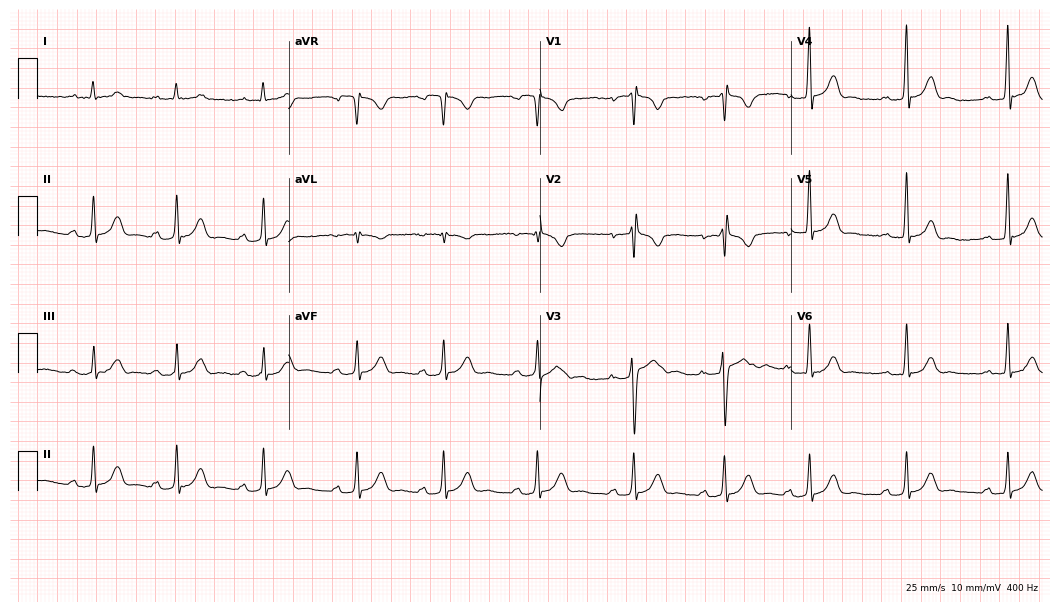
ECG — a male, 19 years old. Screened for six findings — first-degree AV block, right bundle branch block (RBBB), left bundle branch block (LBBB), sinus bradycardia, atrial fibrillation (AF), sinus tachycardia — none is recorded. Findings outside these six are not listed.